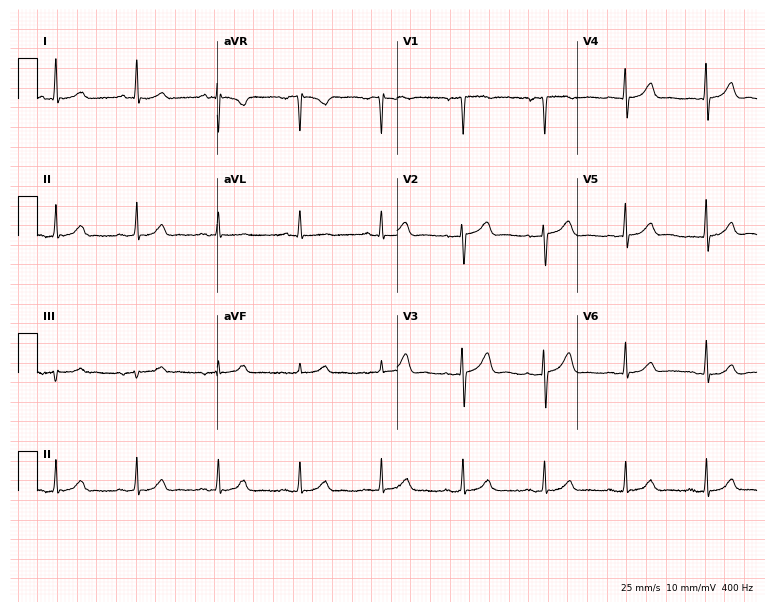
12-lead ECG (7.3-second recording at 400 Hz) from a male patient, 66 years old. Labelled as a normal ECG.